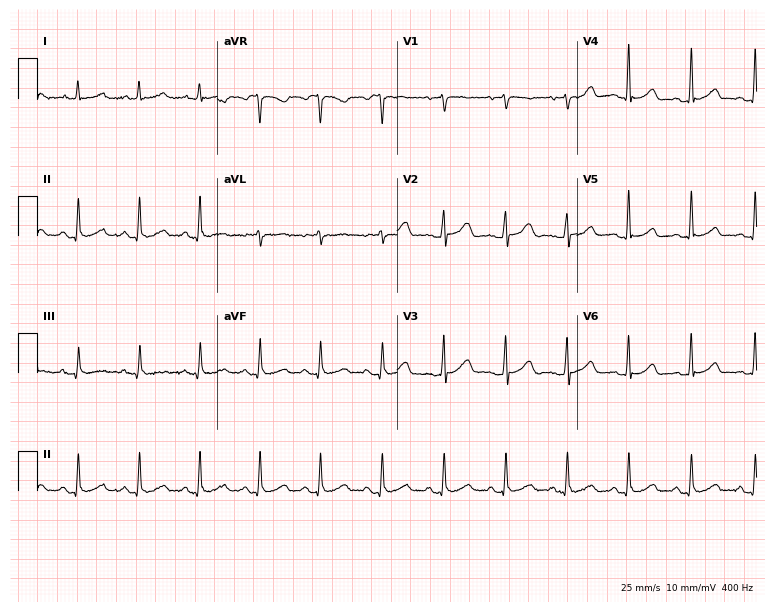
Standard 12-lead ECG recorded from a female patient, 51 years old (7.3-second recording at 400 Hz). Read as a normal ECG.